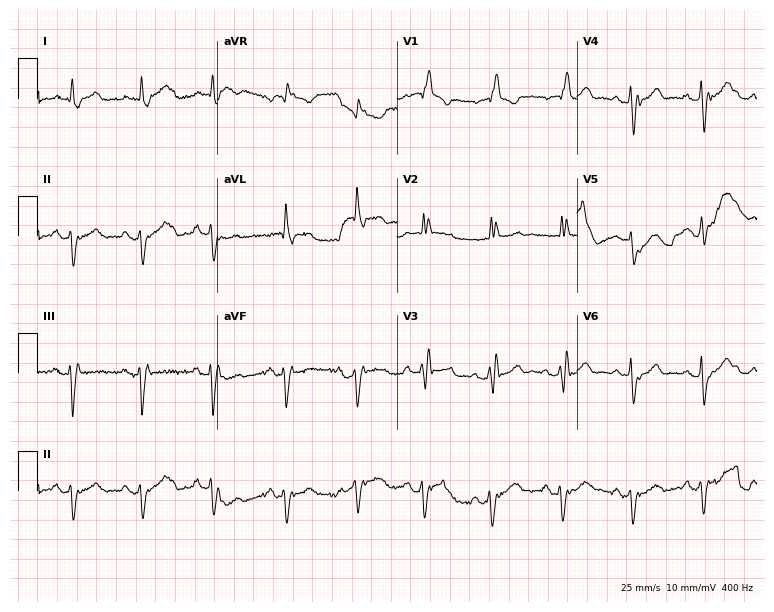
ECG — an 83-year-old female patient. Findings include right bundle branch block.